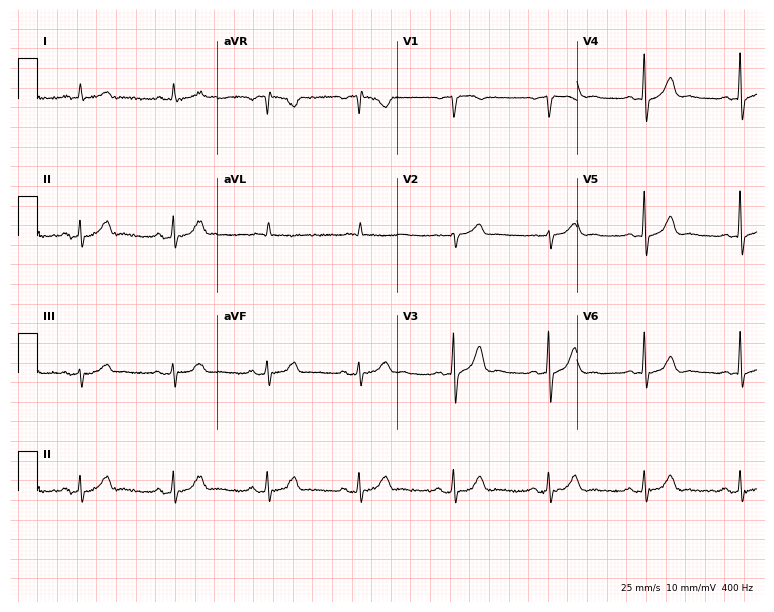
Electrocardiogram, an 82-year-old male patient. Overall reading on record: normal ECG.